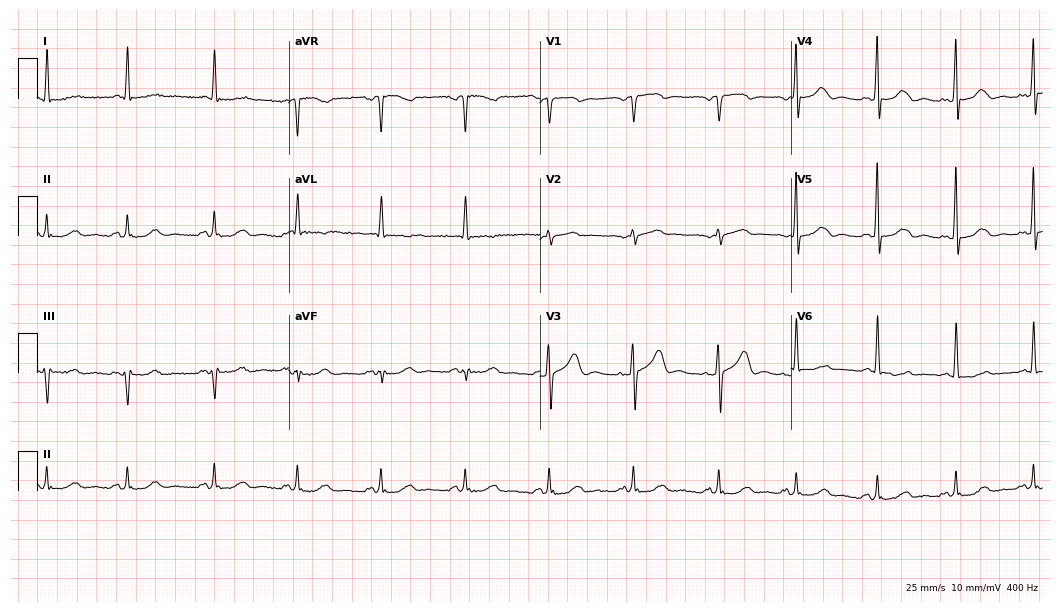
Resting 12-lead electrocardiogram. Patient: a female, 77 years old. Read as a normal ECG.